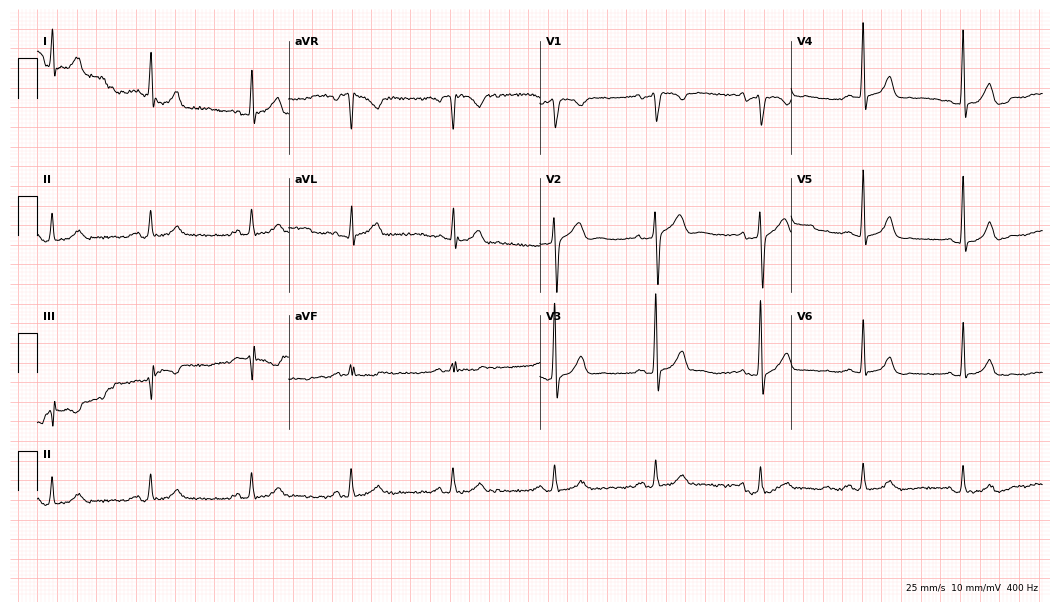
ECG (10.2-second recording at 400 Hz) — a 66-year-old man. Screened for six findings — first-degree AV block, right bundle branch block, left bundle branch block, sinus bradycardia, atrial fibrillation, sinus tachycardia — none is recorded. Findings outside these six are not listed.